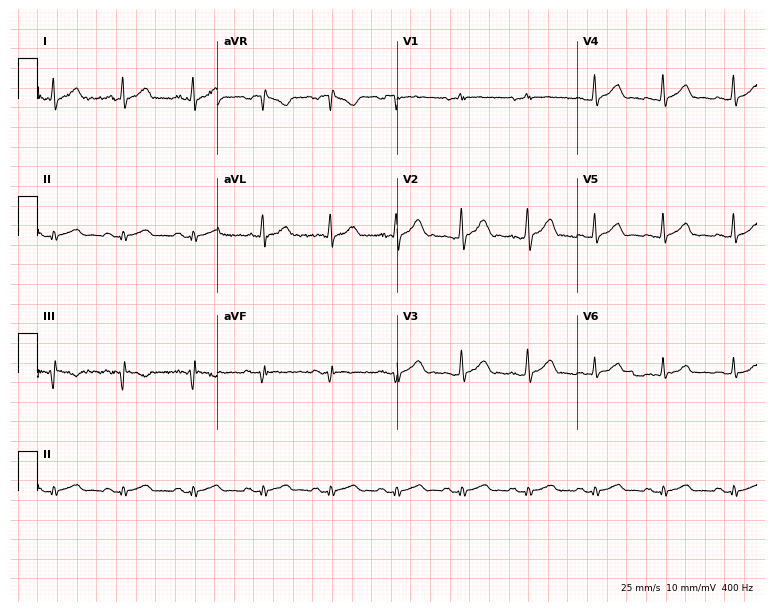
Standard 12-lead ECG recorded from a man, 44 years old (7.3-second recording at 400 Hz). Read as a normal ECG.